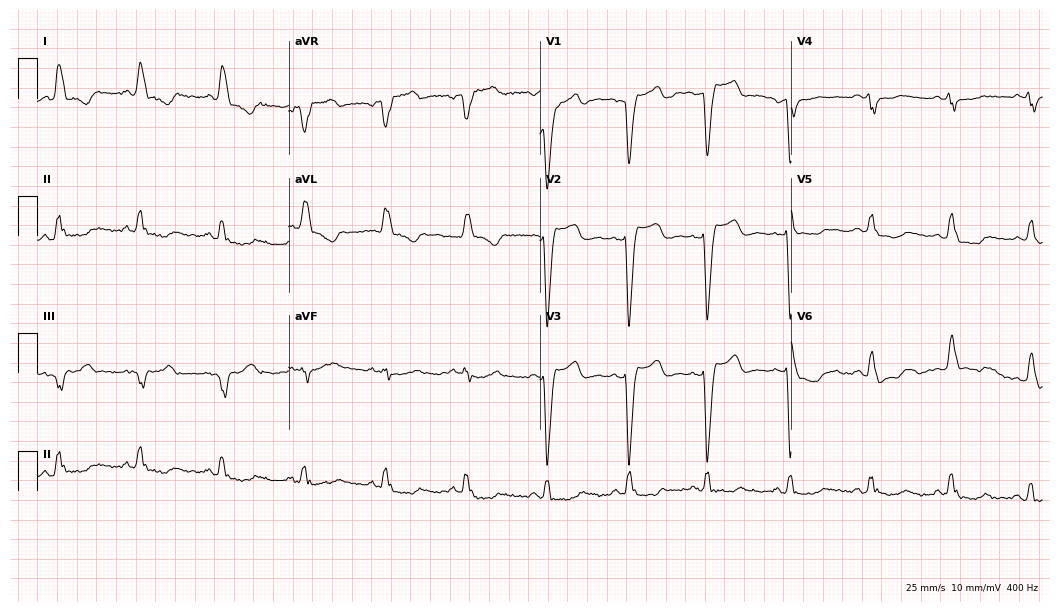
Electrocardiogram (10.2-second recording at 400 Hz), a 79-year-old female. Interpretation includes left bundle branch block.